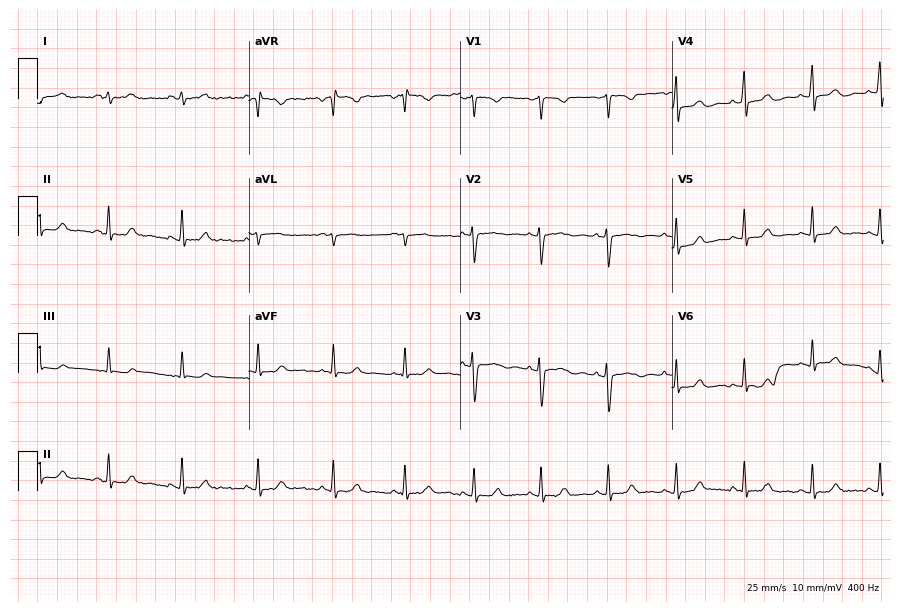
Standard 12-lead ECG recorded from a 39-year-old female patient. None of these six findings is recorded: first-degree AV block, right bundle branch block, left bundle branch block, sinus bradycardia, atrial fibrillation, sinus tachycardia.